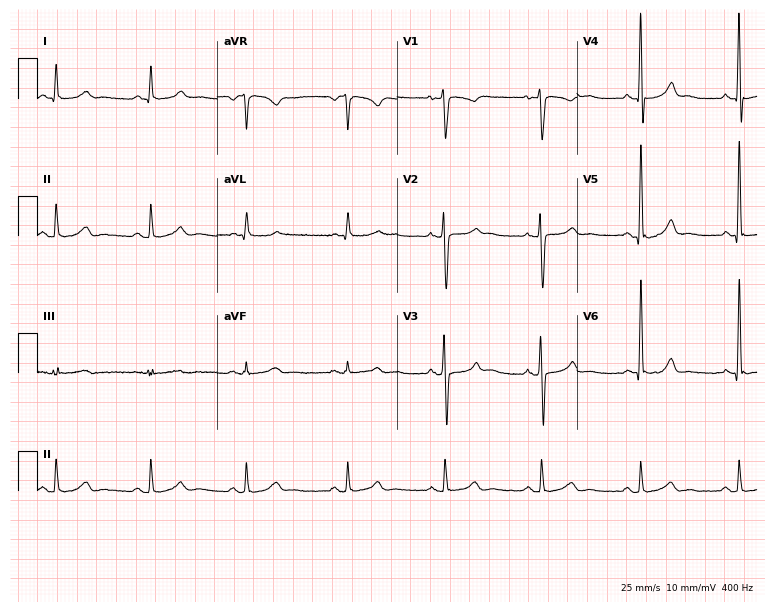
Resting 12-lead electrocardiogram. Patient: a male, 38 years old. Read as a normal ECG.